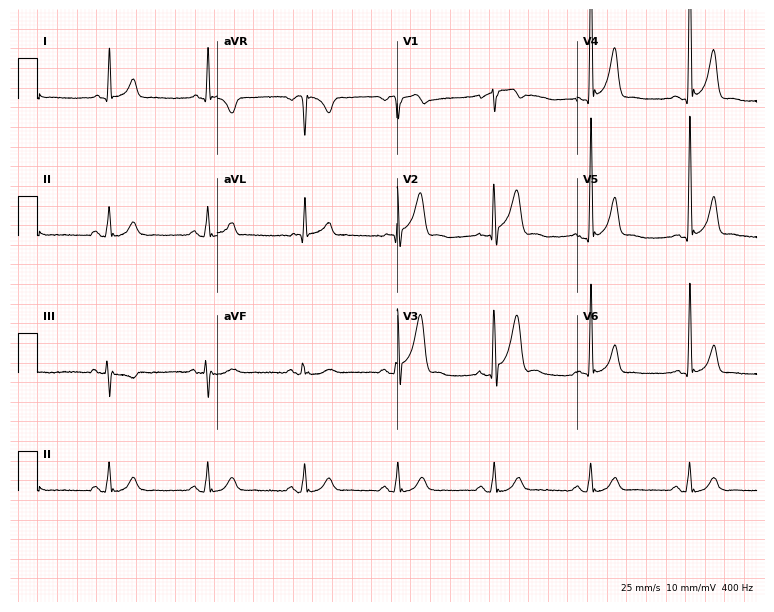
ECG (7.3-second recording at 400 Hz) — a 59-year-old male patient. Screened for six findings — first-degree AV block, right bundle branch block (RBBB), left bundle branch block (LBBB), sinus bradycardia, atrial fibrillation (AF), sinus tachycardia — none is recorded. Findings outside these six are not listed.